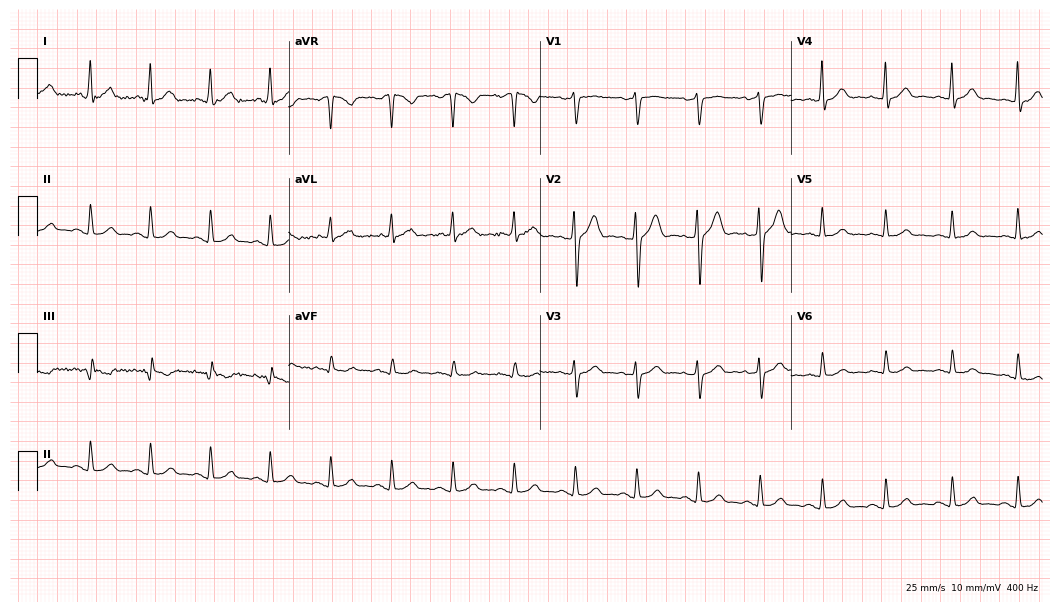
12-lead ECG from a 37-year-old man. Recorded interpretation: within normal limits.